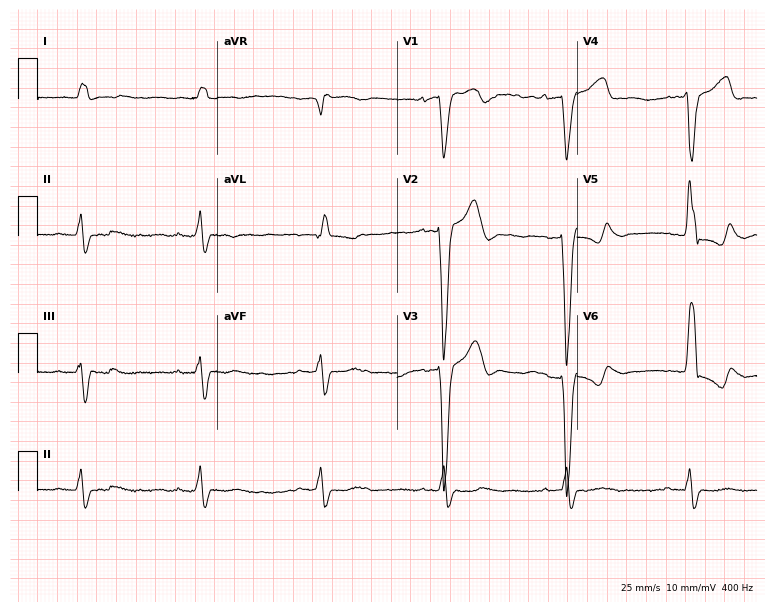
Resting 12-lead electrocardiogram. Patient: a man, 83 years old. The tracing shows left bundle branch block.